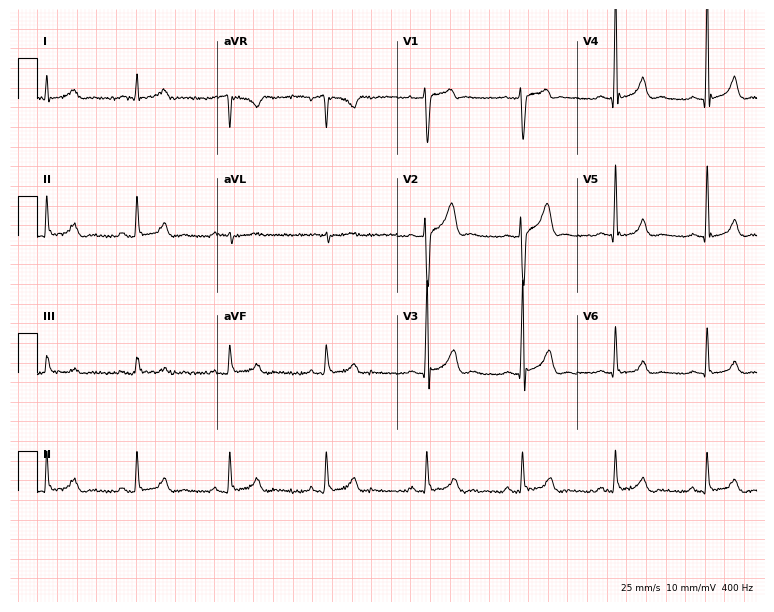
Resting 12-lead electrocardiogram. Patient: a male, 25 years old. Read as a normal ECG.